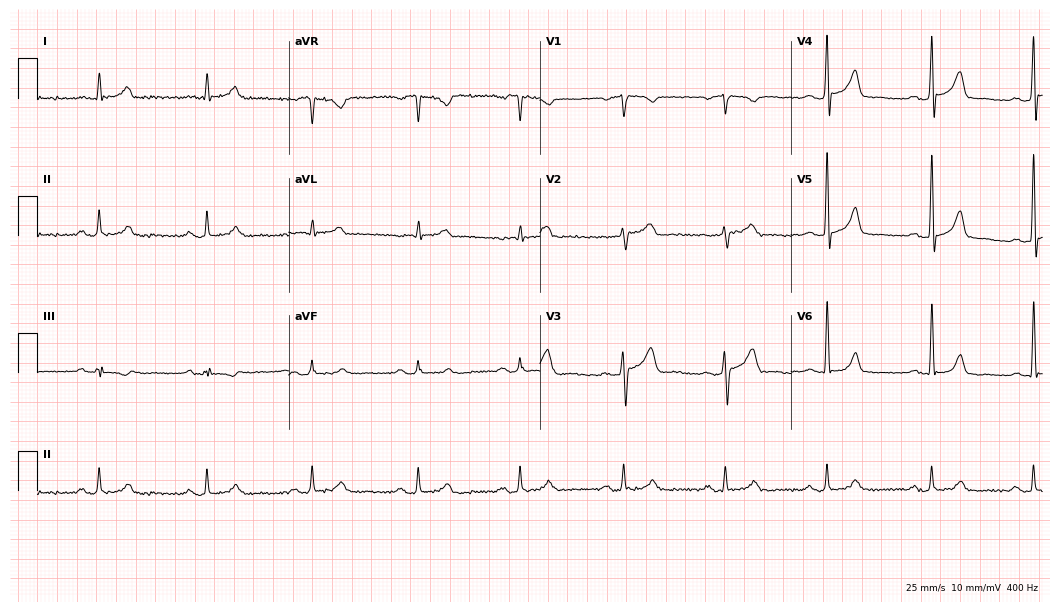
Standard 12-lead ECG recorded from a 57-year-old male. Read as a normal ECG.